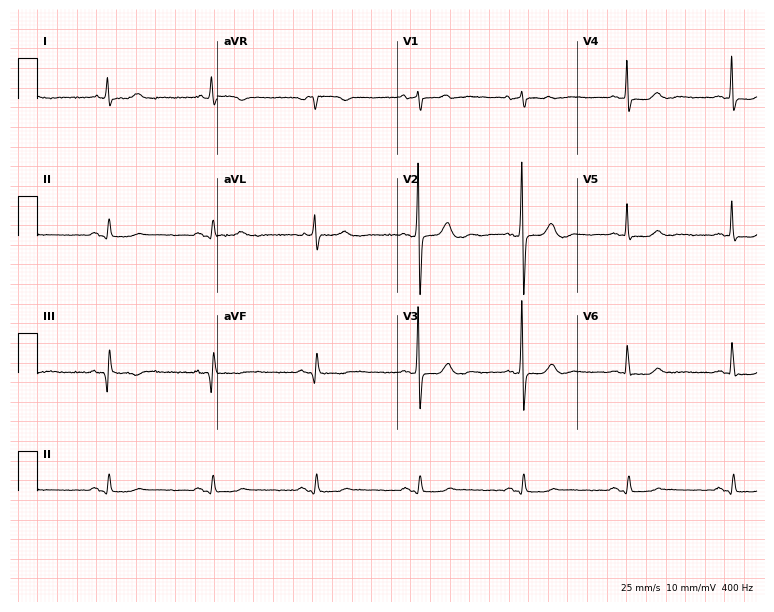
Resting 12-lead electrocardiogram (7.3-second recording at 400 Hz). Patient: a male, 63 years old. None of these six findings is recorded: first-degree AV block, right bundle branch block (RBBB), left bundle branch block (LBBB), sinus bradycardia, atrial fibrillation (AF), sinus tachycardia.